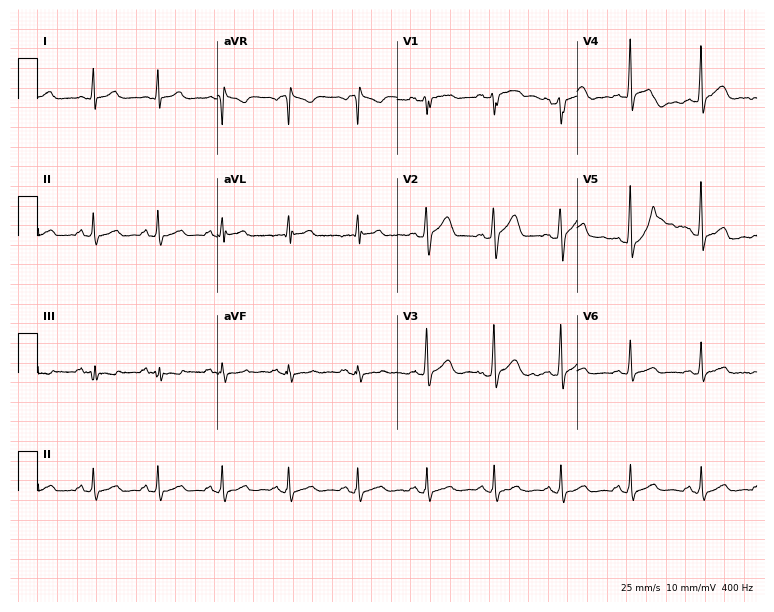
Electrocardiogram, a 32-year-old man. Overall reading on record: normal ECG.